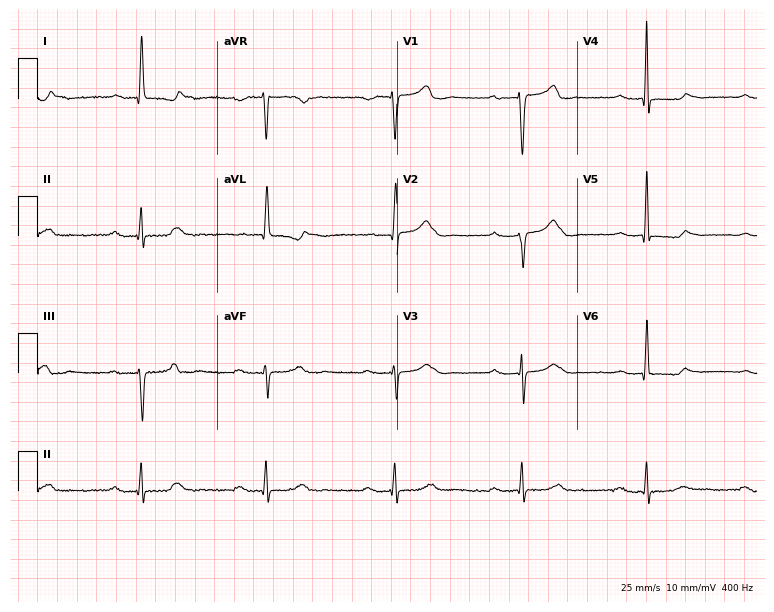
ECG — a 69-year-old woman. Findings include first-degree AV block, right bundle branch block (RBBB).